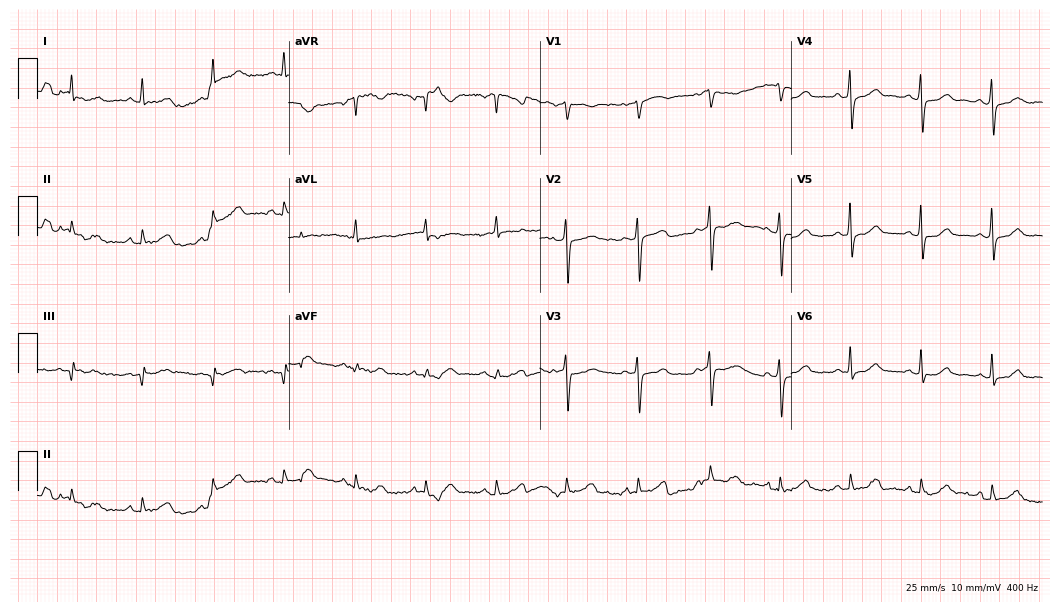
12-lead ECG from a 51-year-old woman. Labelled as a normal ECG.